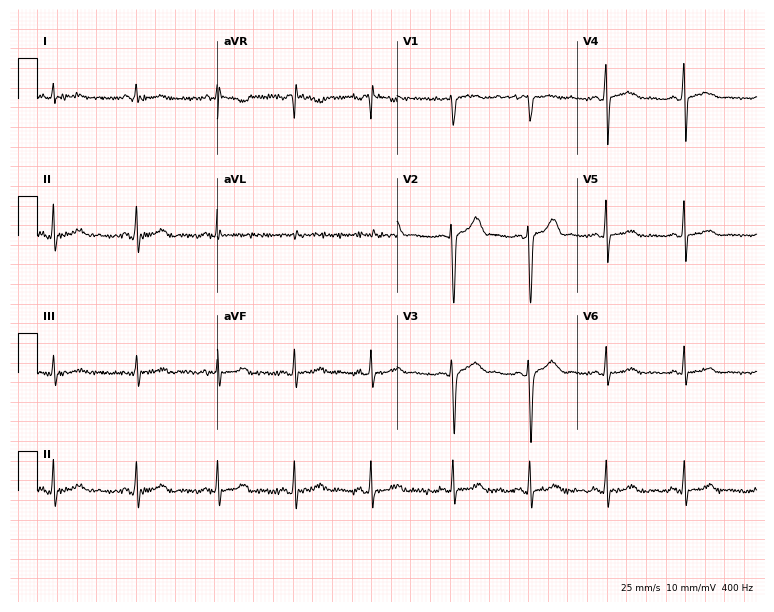
Standard 12-lead ECG recorded from a woman, 36 years old. Read as a normal ECG.